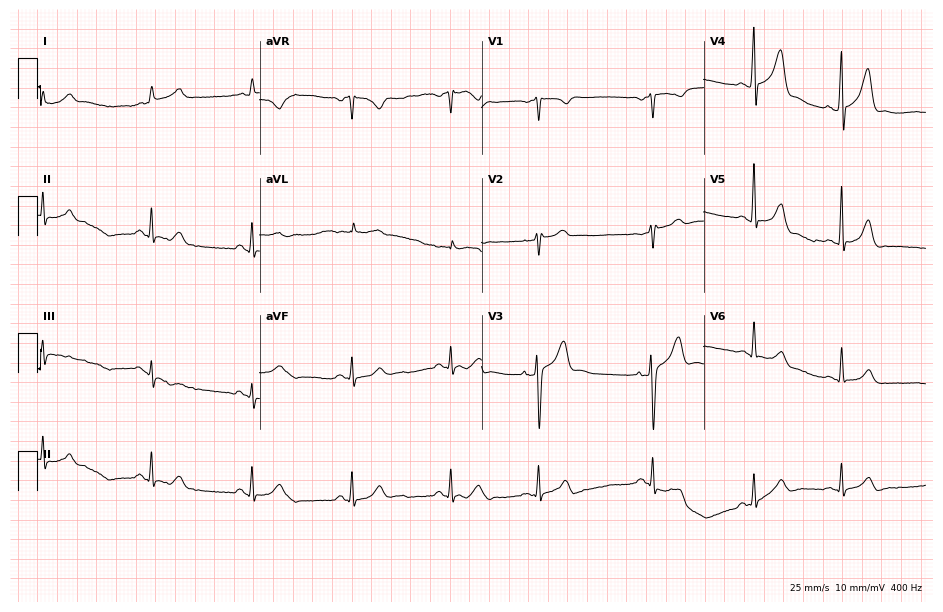
12-lead ECG (9.1-second recording at 400 Hz) from a 54-year-old man. Labelled as a normal ECG.